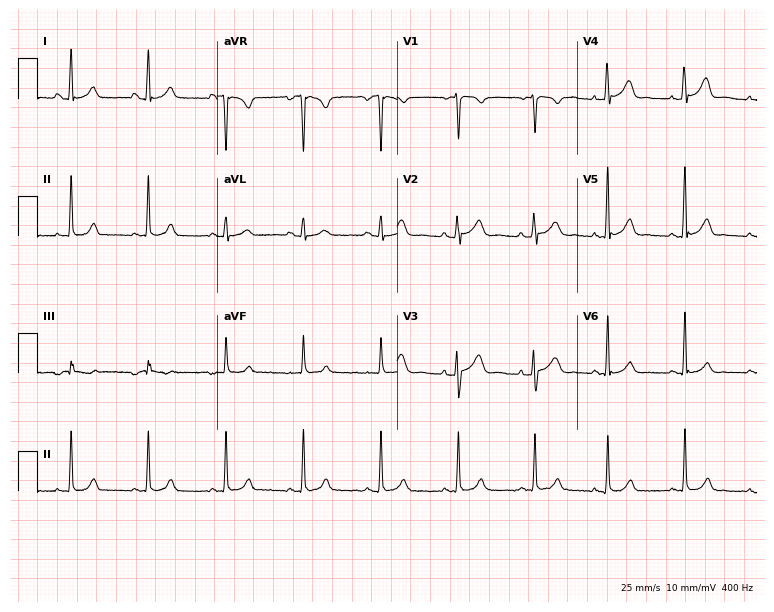
Standard 12-lead ECG recorded from a female, 21 years old (7.3-second recording at 400 Hz). None of these six findings is recorded: first-degree AV block, right bundle branch block, left bundle branch block, sinus bradycardia, atrial fibrillation, sinus tachycardia.